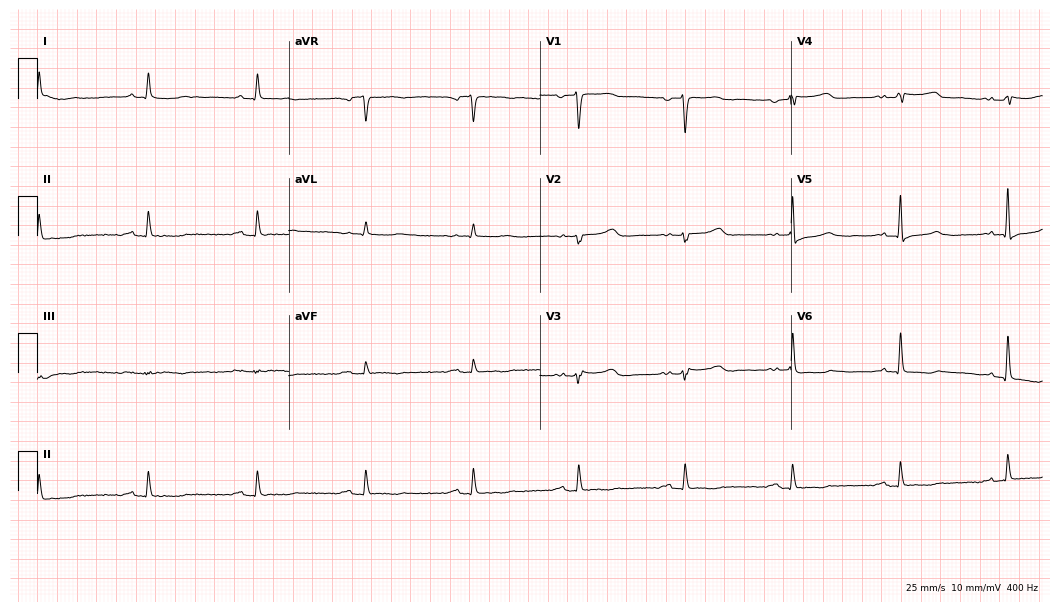
ECG (10.2-second recording at 400 Hz) — a woman, 55 years old. Screened for six findings — first-degree AV block, right bundle branch block (RBBB), left bundle branch block (LBBB), sinus bradycardia, atrial fibrillation (AF), sinus tachycardia — none is recorded.